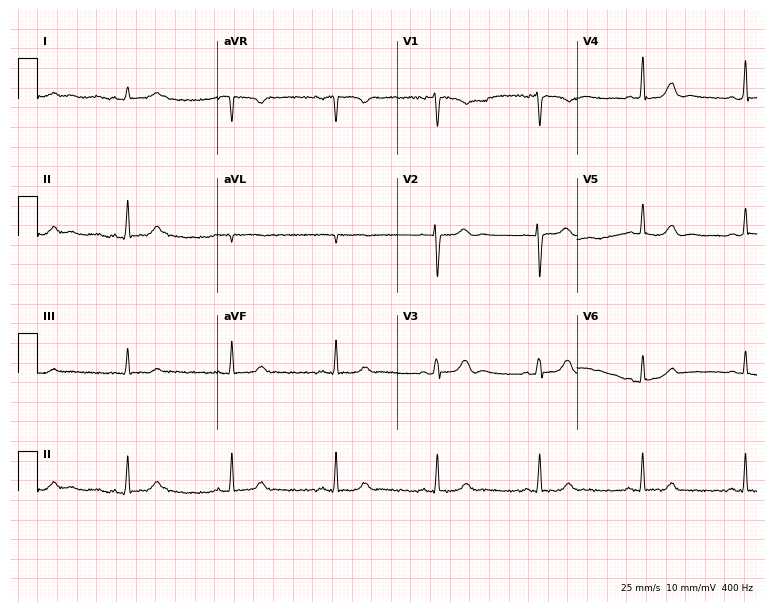
Standard 12-lead ECG recorded from a 40-year-old female. Read as a normal ECG.